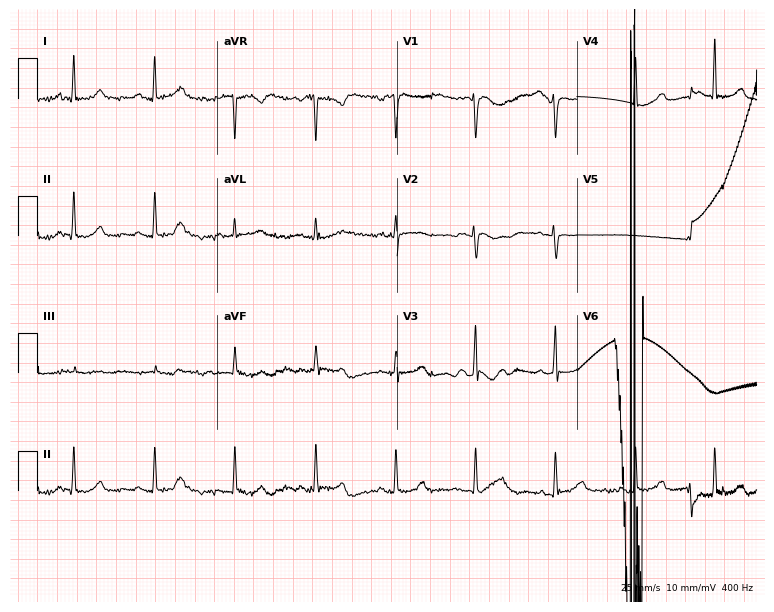
Resting 12-lead electrocardiogram. Patient: a 47-year-old woman. None of these six findings is recorded: first-degree AV block, right bundle branch block, left bundle branch block, sinus bradycardia, atrial fibrillation, sinus tachycardia. Findings outside these six are not listed.